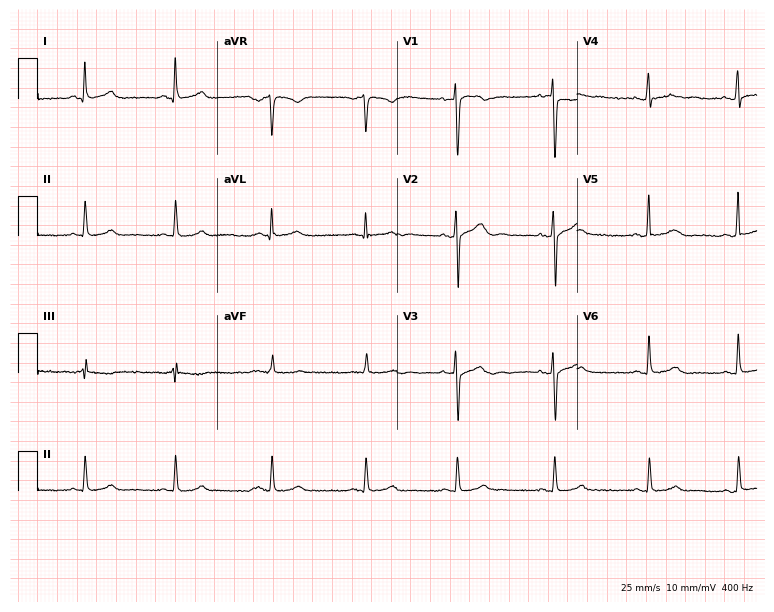
Standard 12-lead ECG recorded from a man, 32 years old. Read as a normal ECG.